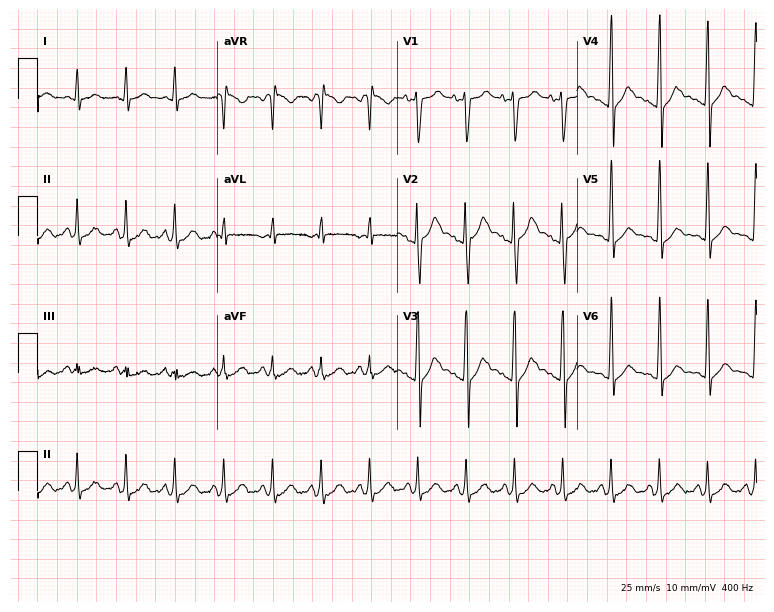
Standard 12-lead ECG recorded from a 23-year-old male (7.3-second recording at 400 Hz). The tracing shows sinus tachycardia (a sinus rate of 100 beats per minute or more).